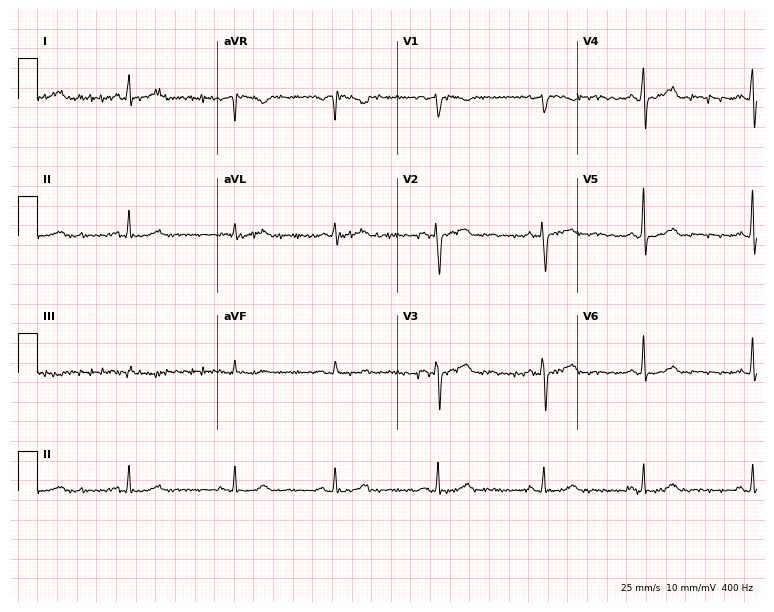
Electrocardiogram (7.3-second recording at 400 Hz), a female patient, 70 years old. Overall reading on record: normal ECG.